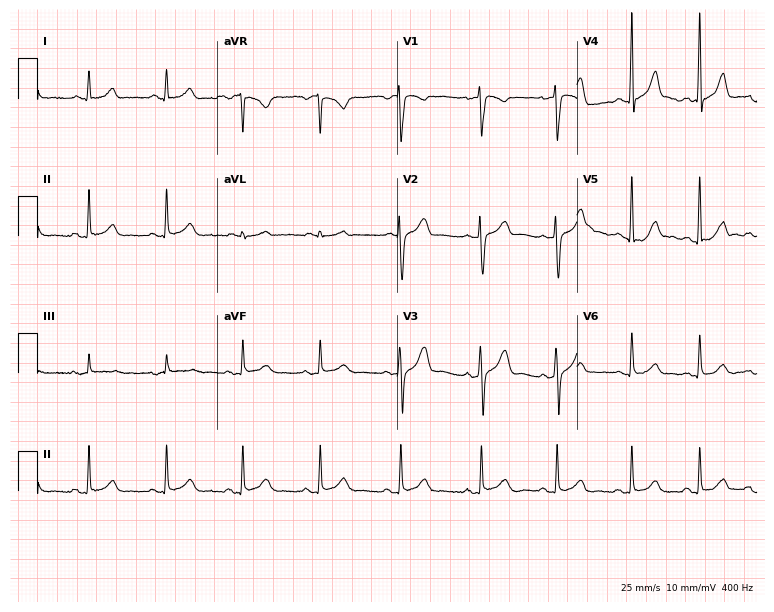
12-lead ECG from a woman, 35 years old (7.3-second recording at 400 Hz). Recorded interpretation: within normal limits.